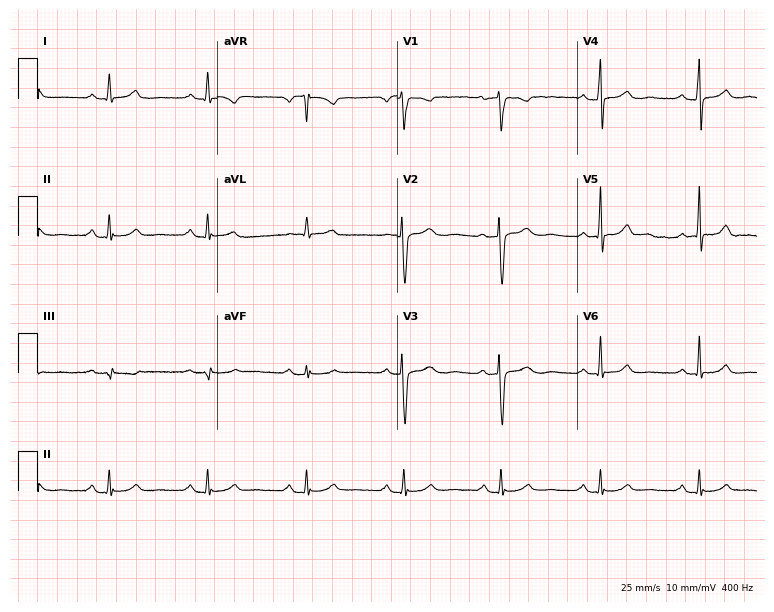
Standard 12-lead ECG recorded from a female patient, 53 years old (7.3-second recording at 400 Hz). Read as a normal ECG.